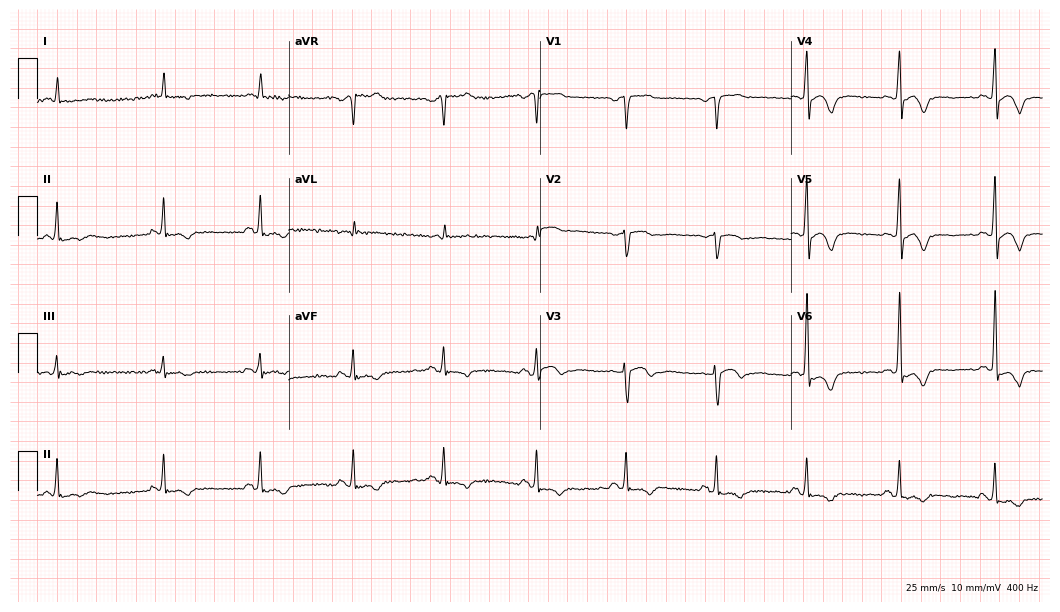
ECG (10.2-second recording at 400 Hz) — a man, 81 years old. Screened for six findings — first-degree AV block, right bundle branch block, left bundle branch block, sinus bradycardia, atrial fibrillation, sinus tachycardia — none is recorded.